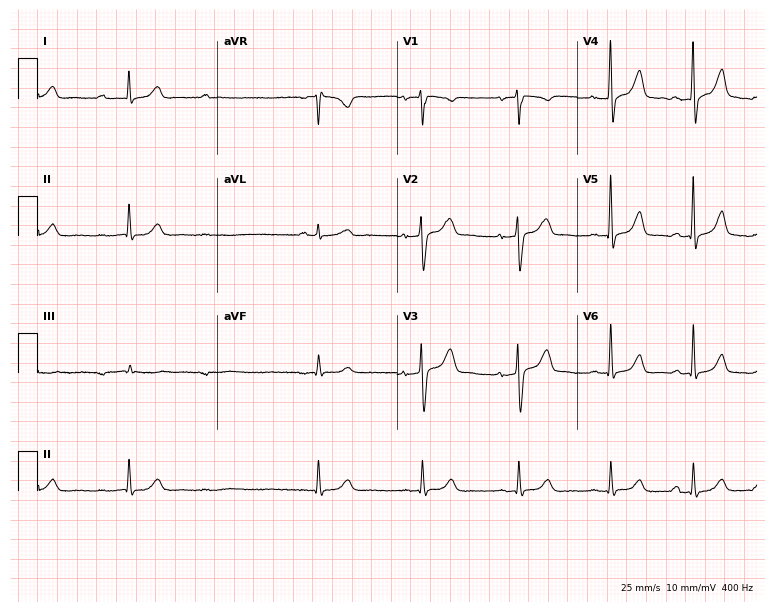
ECG — a 54-year-old woman. Screened for six findings — first-degree AV block, right bundle branch block, left bundle branch block, sinus bradycardia, atrial fibrillation, sinus tachycardia — none is recorded.